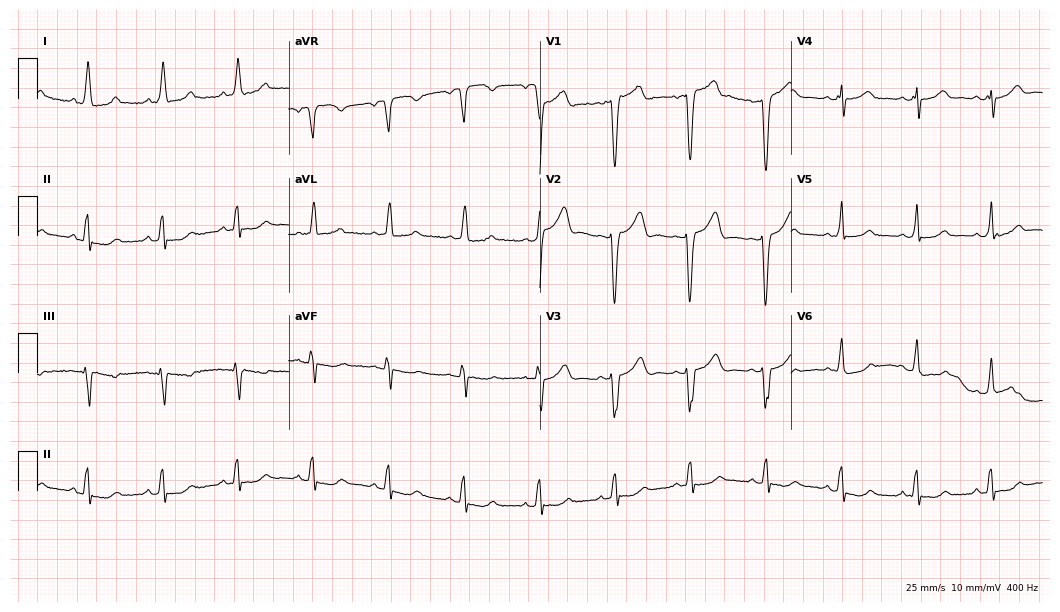
Electrocardiogram, a woman, 54 years old. Of the six screened findings (first-degree AV block, right bundle branch block, left bundle branch block, sinus bradycardia, atrial fibrillation, sinus tachycardia), none is recorded.